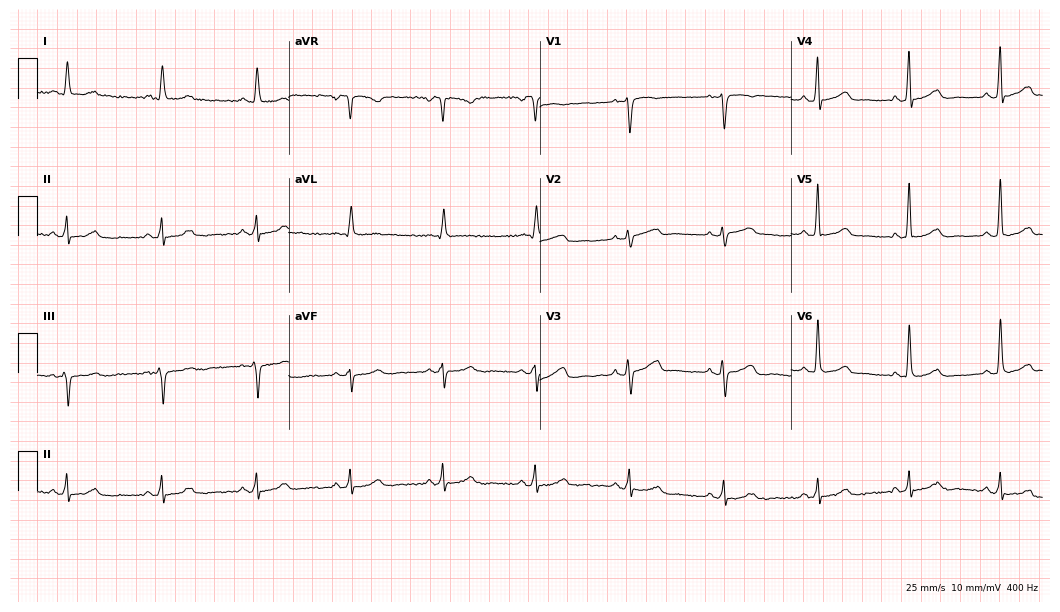
Resting 12-lead electrocardiogram (10.2-second recording at 400 Hz). Patient: a 61-year-old female. Read as a normal ECG.